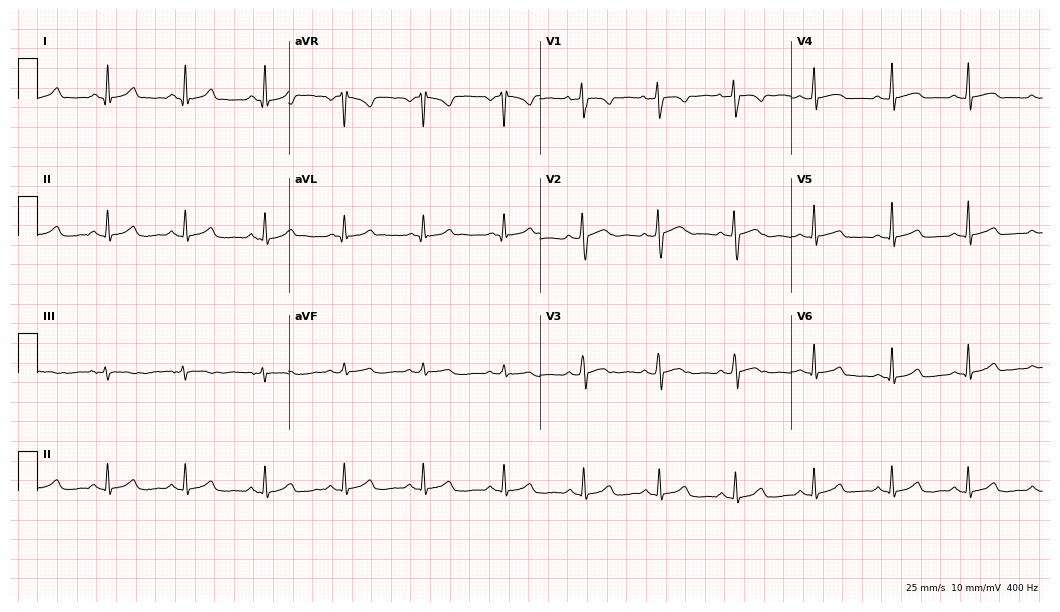
12-lead ECG from a female patient, 22 years old (10.2-second recording at 400 Hz). Recorded interpretation: within normal limits.